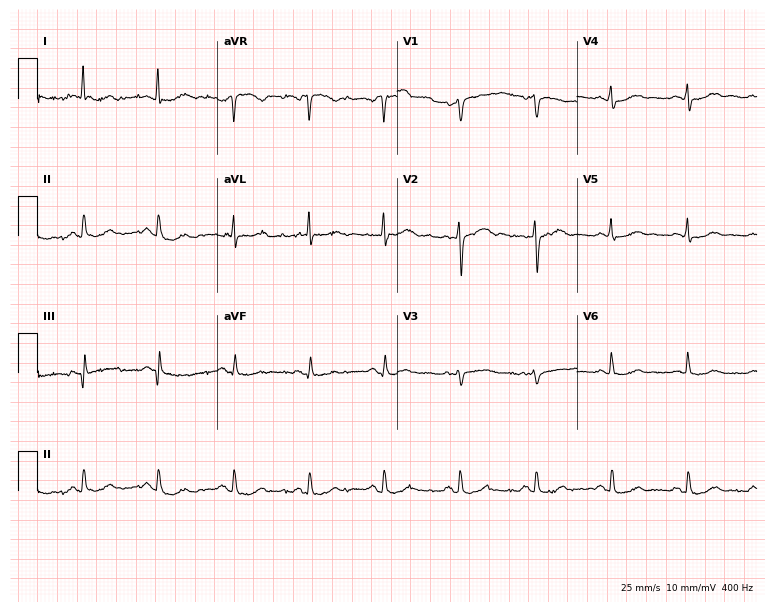
Resting 12-lead electrocardiogram (7.3-second recording at 400 Hz). Patient: a 55-year-old female. None of these six findings is recorded: first-degree AV block, right bundle branch block, left bundle branch block, sinus bradycardia, atrial fibrillation, sinus tachycardia.